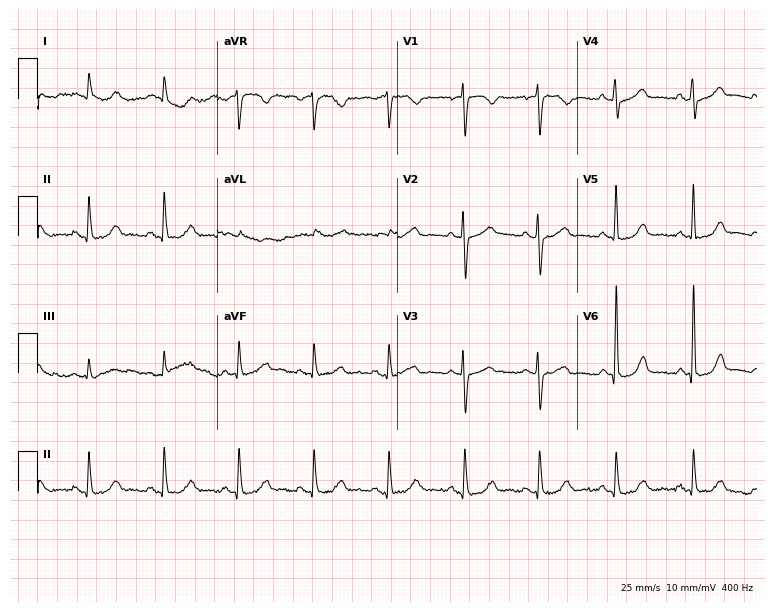
Standard 12-lead ECG recorded from a 61-year-old woman (7.3-second recording at 400 Hz). Read as a normal ECG.